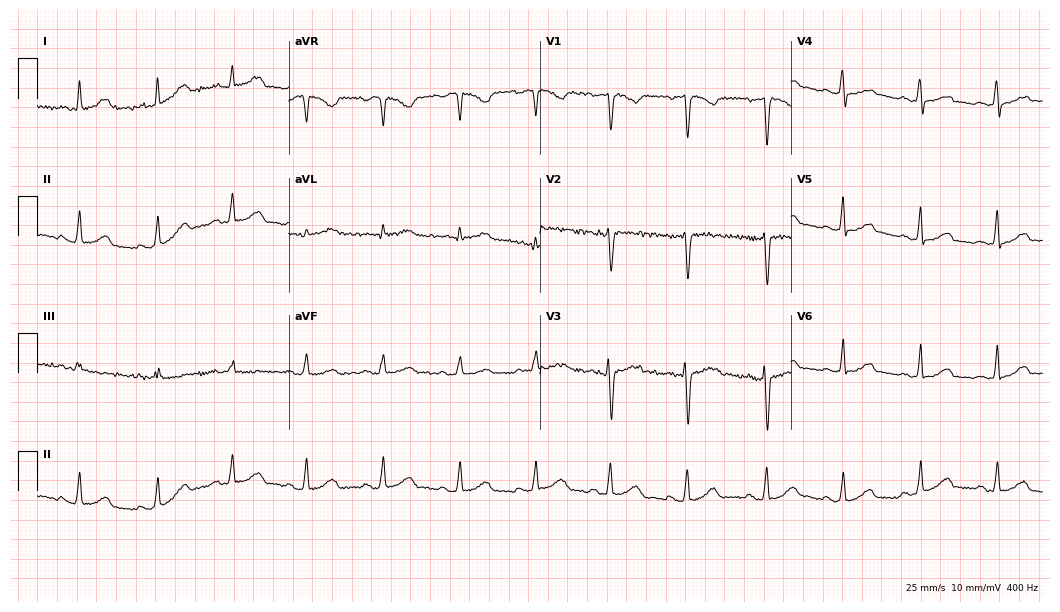
Electrocardiogram, a female, 29 years old. Overall reading on record: normal ECG.